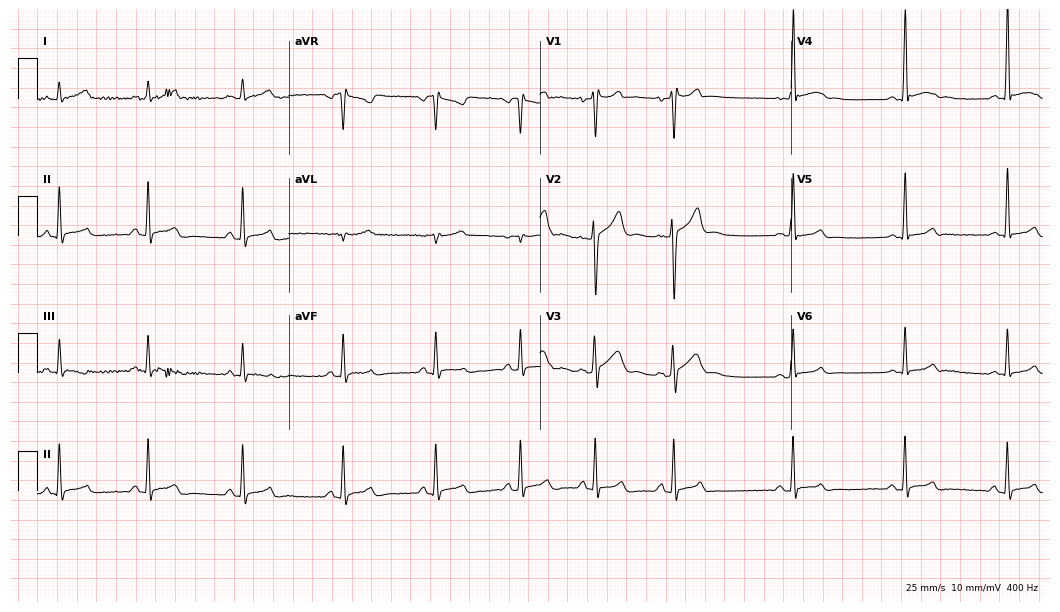
ECG — a male patient, 20 years old. Screened for six findings — first-degree AV block, right bundle branch block, left bundle branch block, sinus bradycardia, atrial fibrillation, sinus tachycardia — none is recorded.